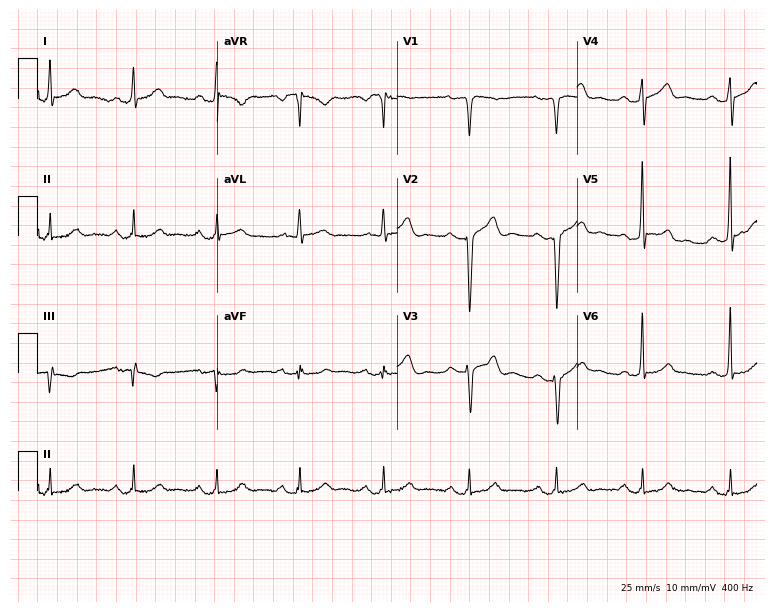
ECG (7.3-second recording at 400 Hz) — a male patient, 67 years old. Screened for six findings — first-degree AV block, right bundle branch block, left bundle branch block, sinus bradycardia, atrial fibrillation, sinus tachycardia — none is recorded. Other findings, if any, are not listed.